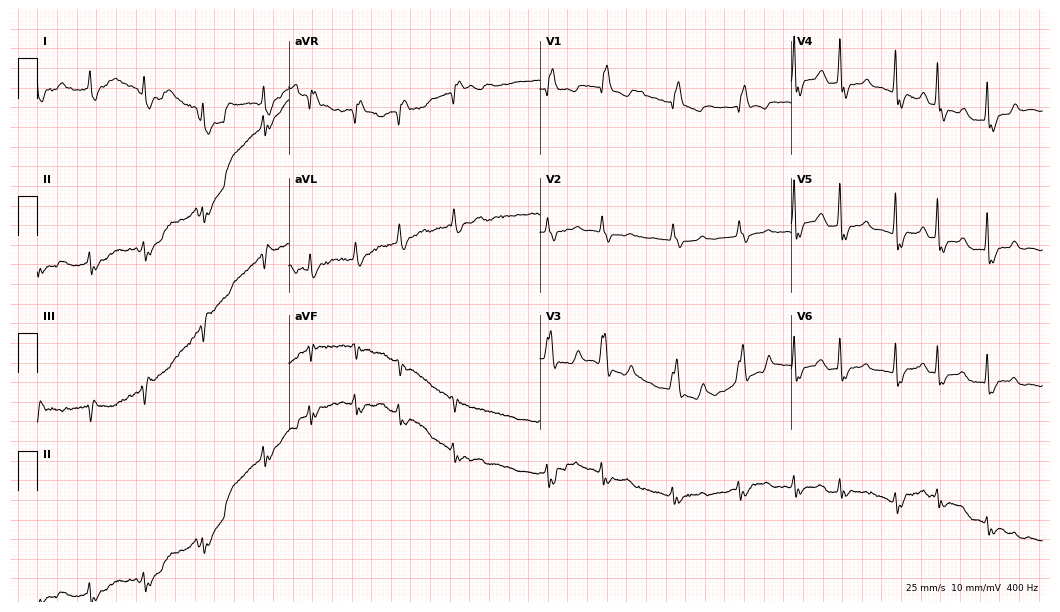
12-lead ECG from a woman, 76 years old. Screened for six findings — first-degree AV block, right bundle branch block, left bundle branch block, sinus bradycardia, atrial fibrillation, sinus tachycardia — none is recorded.